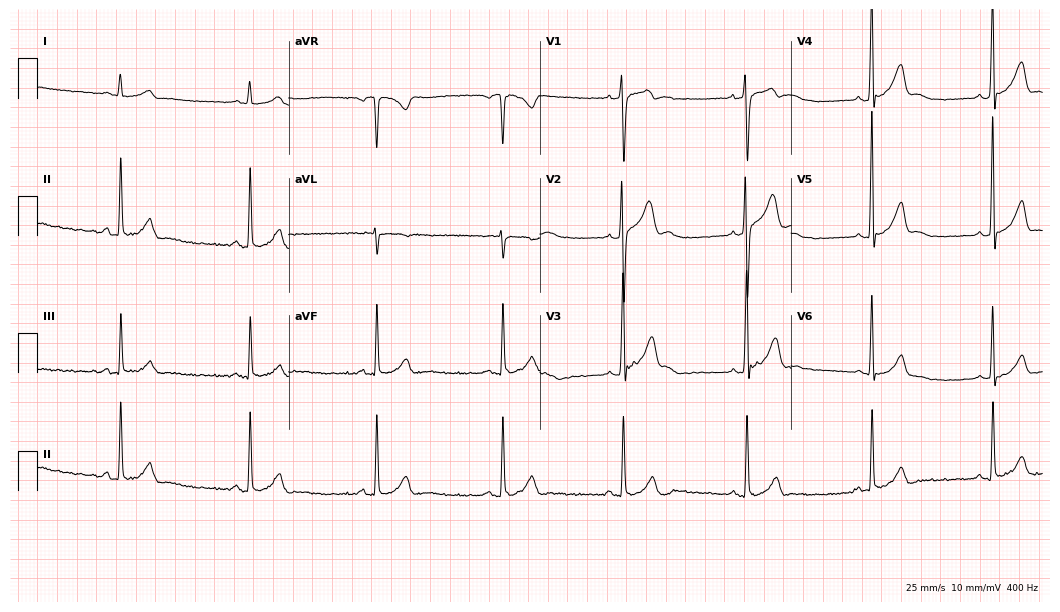
ECG — a 21-year-old man. Screened for six findings — first-degree AV block, right bundle branch block (RBBB), left bundle branch block (LBBB), sinus bradycardia, atrial fibrillation (AF), sinus tachycardia — none is recorded. Only these six findings were labelled.